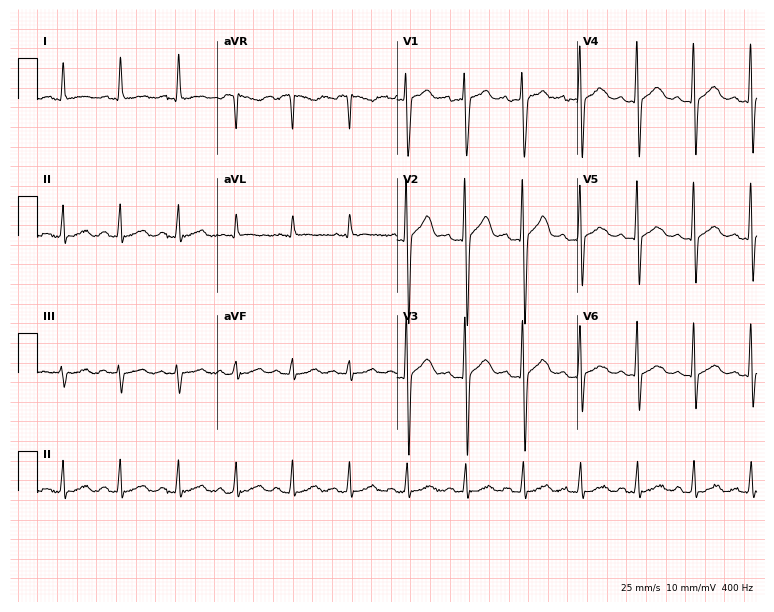
12-lead ECG from a male patient, 45 years old. Findings include sinus tachycardia (a sinus rate of 100 beats per minute or more).